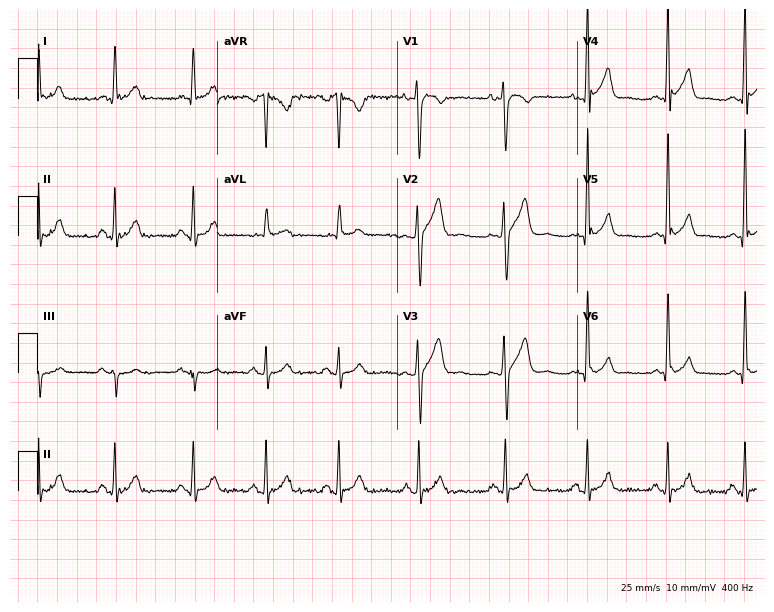
Standard 12-lead ECG recorded from a male patient, 43 years old. None of these six findings is recorded: first-degree AV block, right bundle branch block, left bundle branch block, sinus bradycardia, atrial fibrillation, sinus tachycardia. Findings outside these six are not listed.